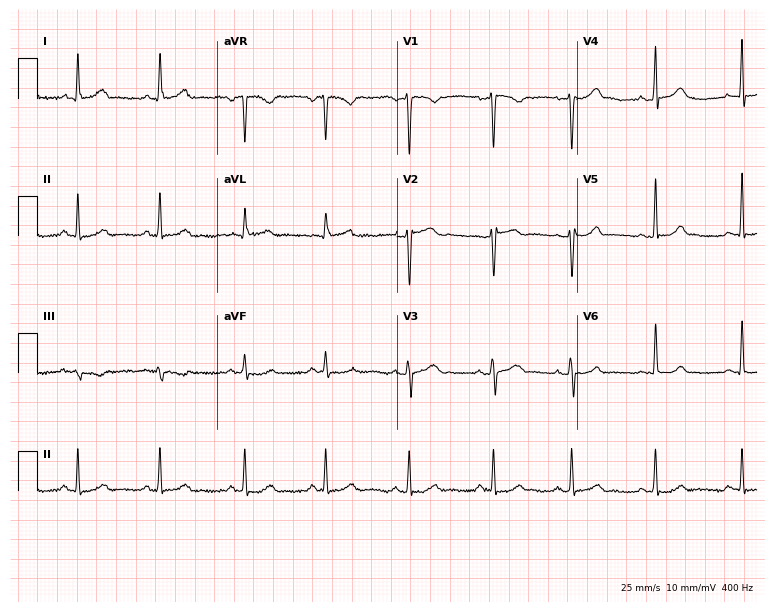
12-lead ECG from a female patient, 23 years old (7.3-second recording at 400 Hz). No first-degree AV block, right bundle branch block (RBBB), left bundle branch block (LBBB), sinus bradycardia, atrial fibrillation (AF) or sinus tachycardia recorded for this tracing. Only these six findings were labelled.